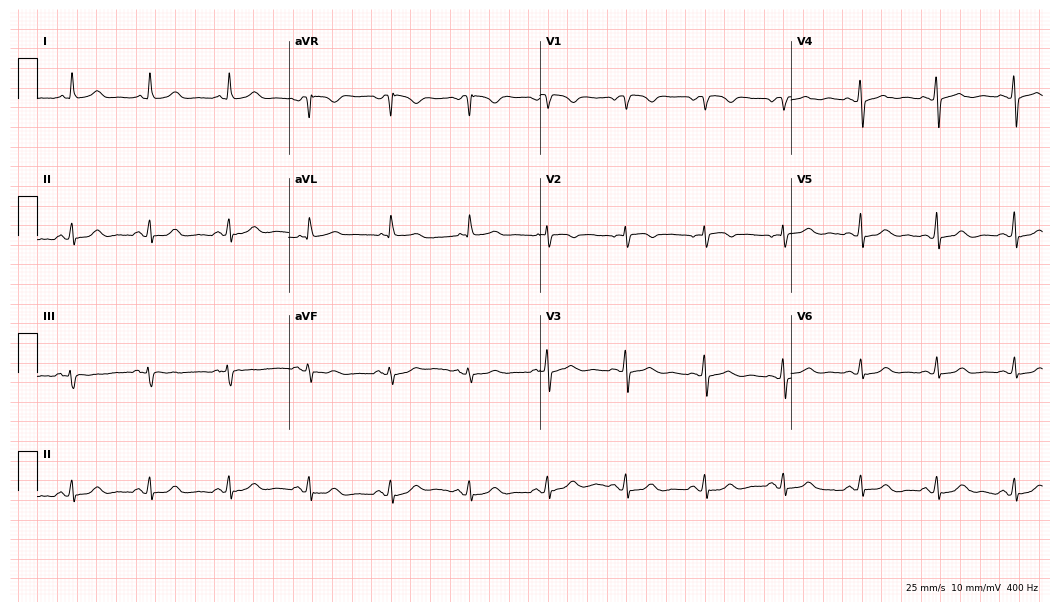
12-lead ECG from a 54-year-old female (10.2-second recording at 400 Hz). Recorded interpretation: within normal limits.